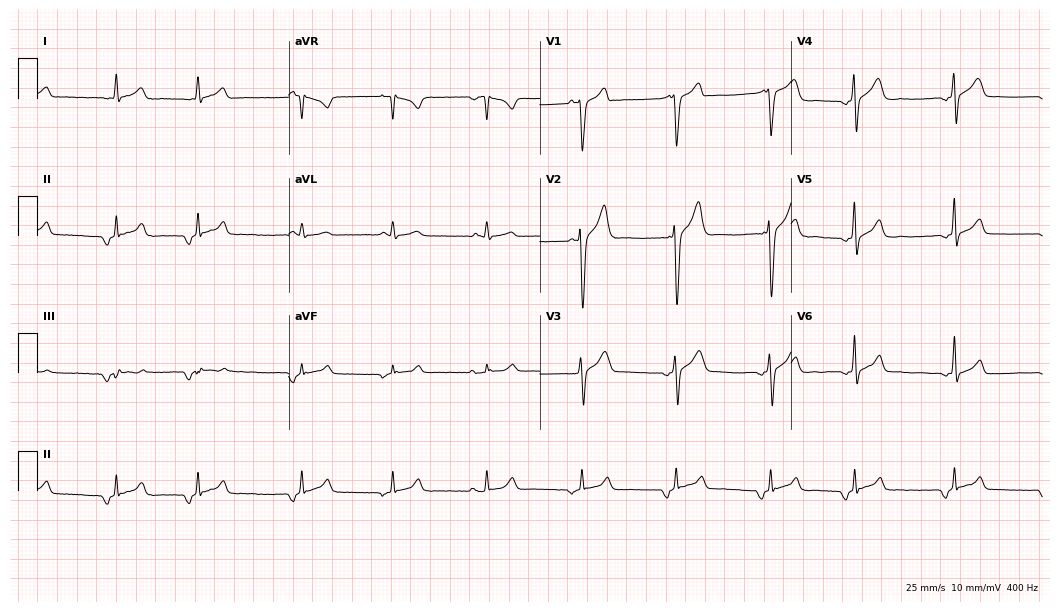
12-lead ECG from a 31-year-old woman (10.2-second recording at 400 Hz). No first-degree AV block, right bundle branch block (RBBB), left bundle branch block (LBBB), sinus bradycardia, atrial fibrillation (AF) or sinus tachycardia recorded for this tracing. Other findings, if any, are not listed.